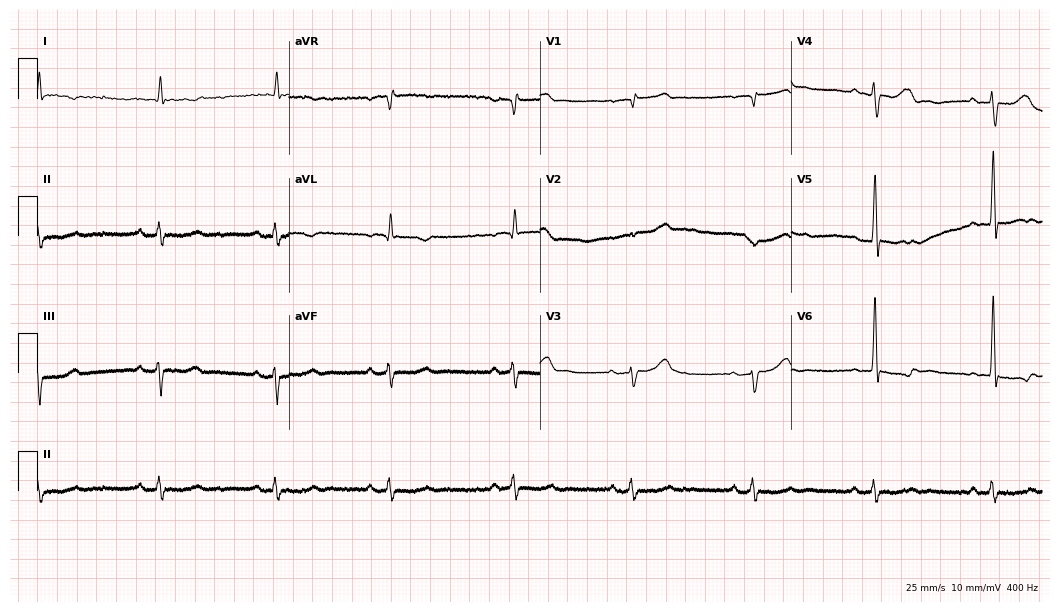
12-lead ECG (10.2-second recording at 400 Hz) from a 78-year-old male patient. Screened for six findings — first-degree AV block, right bundle branch block, left bundle branch block, sinus bradycardia, atrial fibrillation, sinus tachycardia — none is recorded. Other findings, if any, are not listed.